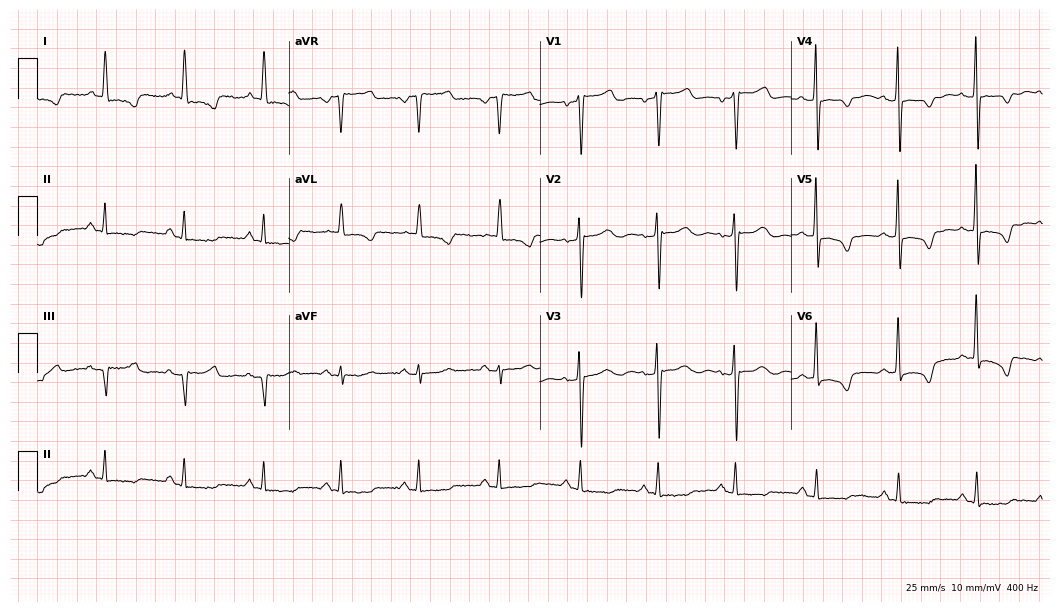
ECG (10.2-second recording at 400 Hz) — a 68-year-old woman. Labelled as a normal ECG.